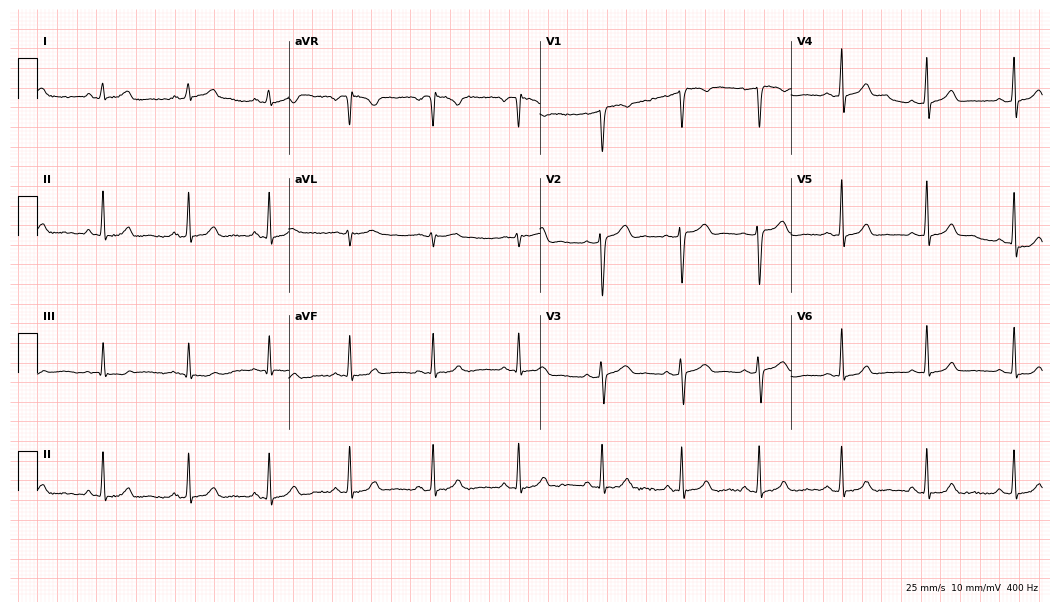
ECG — a female, 30 years old. Labelled as a normal ECG.